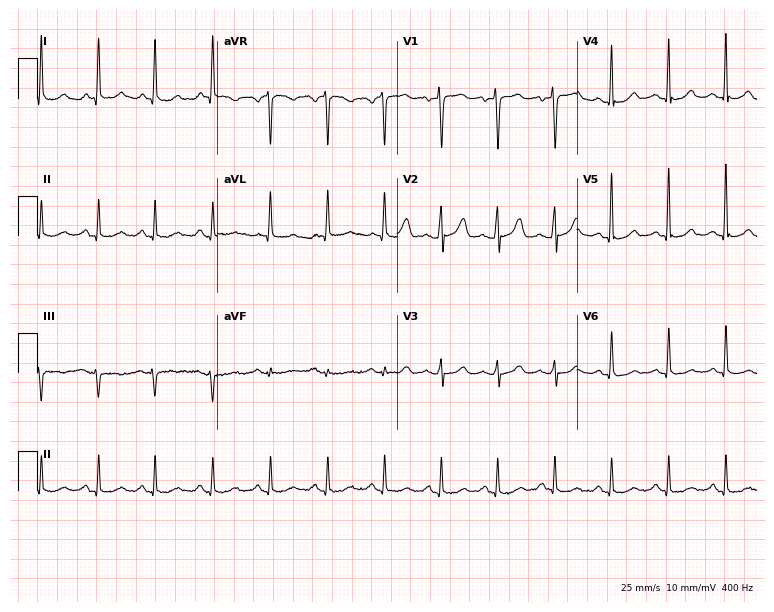
12-lead ECG from a female patient, 56 years old. Findings include sinus tachycardia (a sinus rate of 100 beats per minute or more).